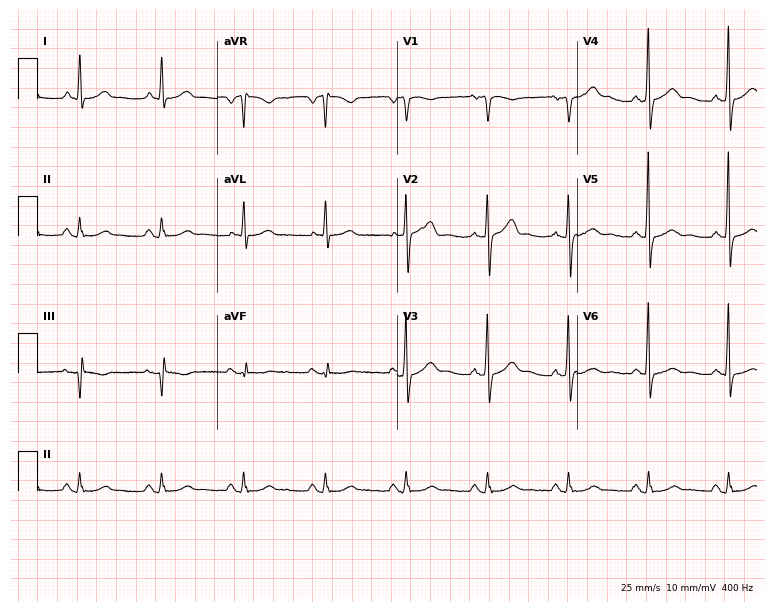
Standard 12-lead ECG recorded from a 63-year-old male patient. Read as a normal ECG.